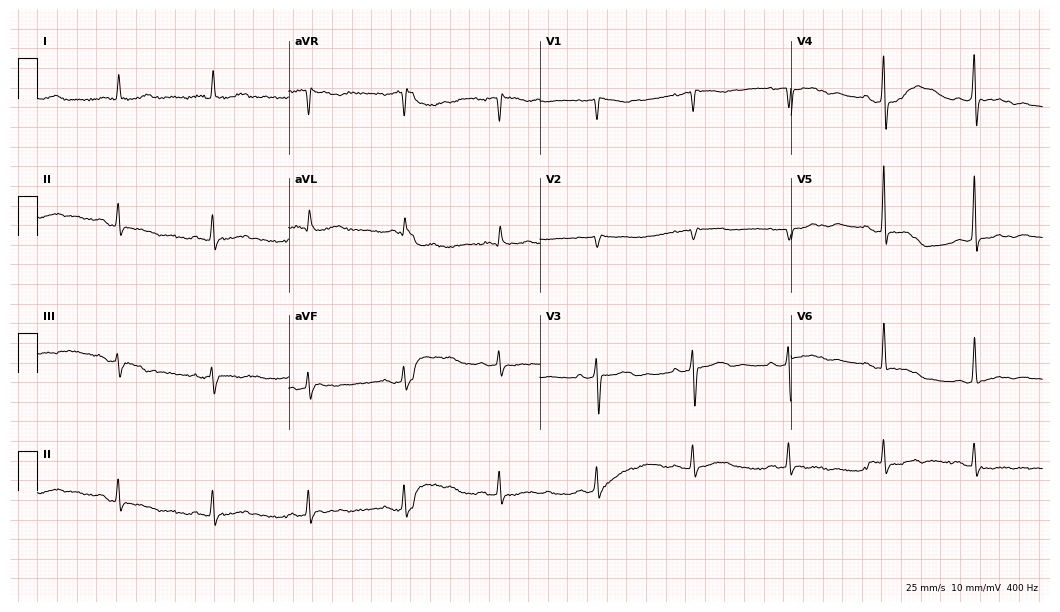
Resting 12-lead electrocardiogram (10.2-second recording at 400 Hz). Patient: a woman, 88 years old. None of these six findings is recorded: first-degree AV block, right bundle branch block, left bundle branch block, sinus bradycardia, atrial fibrillation, sinus tachycardia.